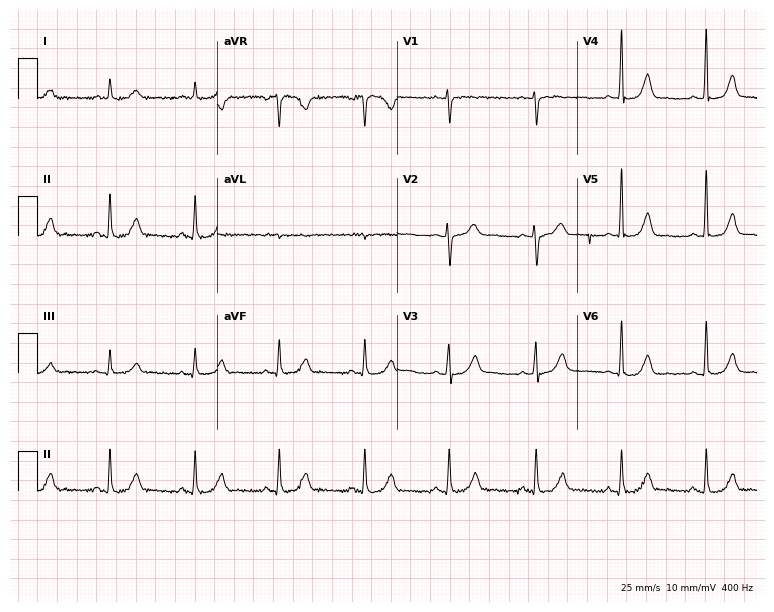
12-lead ECG from a 48-year-old woman. Labelled as a normal ECG.